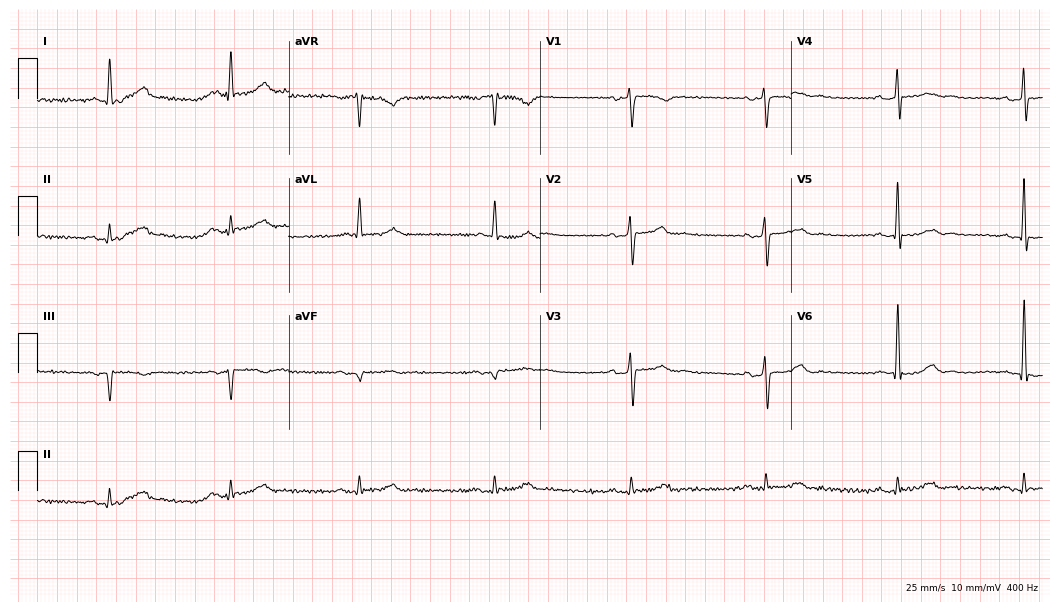
Electrocardiogram (10.2-second recording at 400 Hz), a man, 79 years old. Interpretation includes sinus bradycardia (a sinus rate of 50 beats per minute or less).